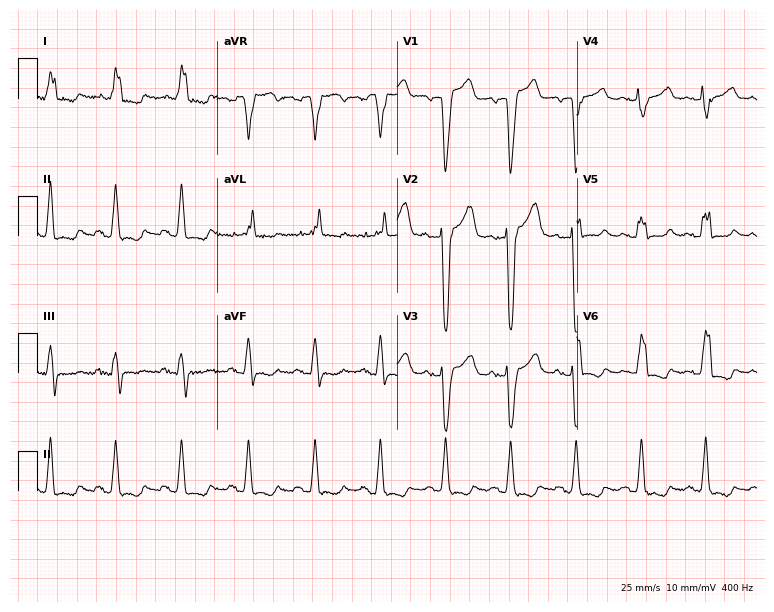
Standard 12-lead ECG recorded from a female patient, 85 years old (7.3-second recording at 400 Hz). The tracing shows left bundle branch block (LBBB).